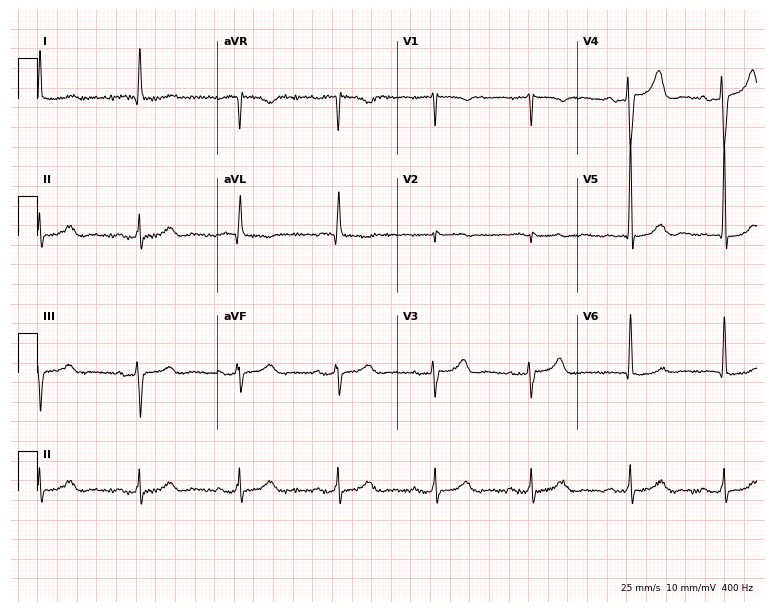
12-lead ECG from a 75-year-old female patient. Recorded interpretation: within normal limits.